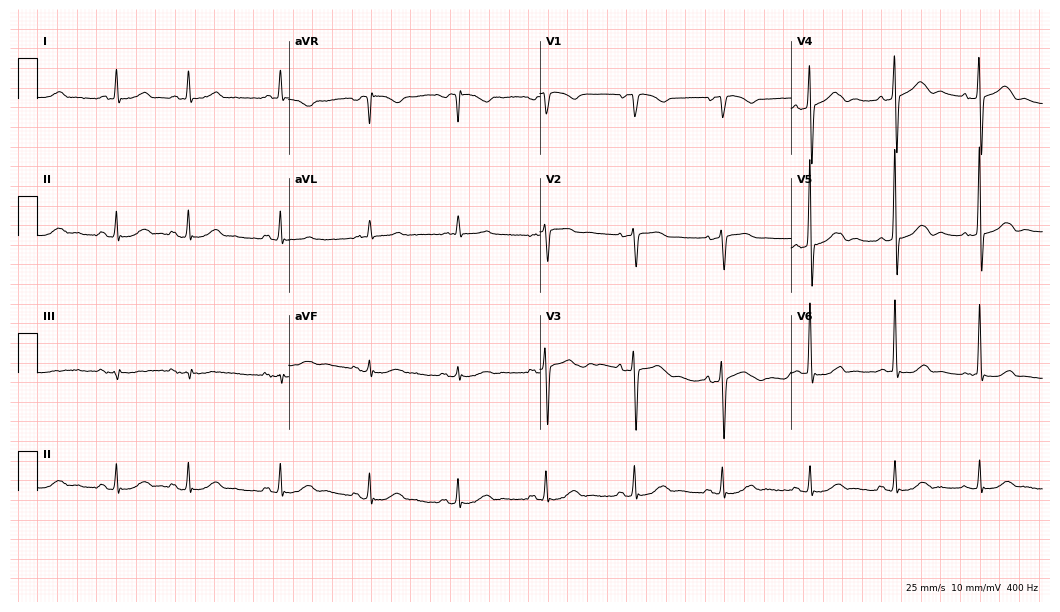
Resting 12-lead electrocardiogram (10.2-second recording at 400 Hz). Patient: a woman, 82 years old. Read as a normal ECG.